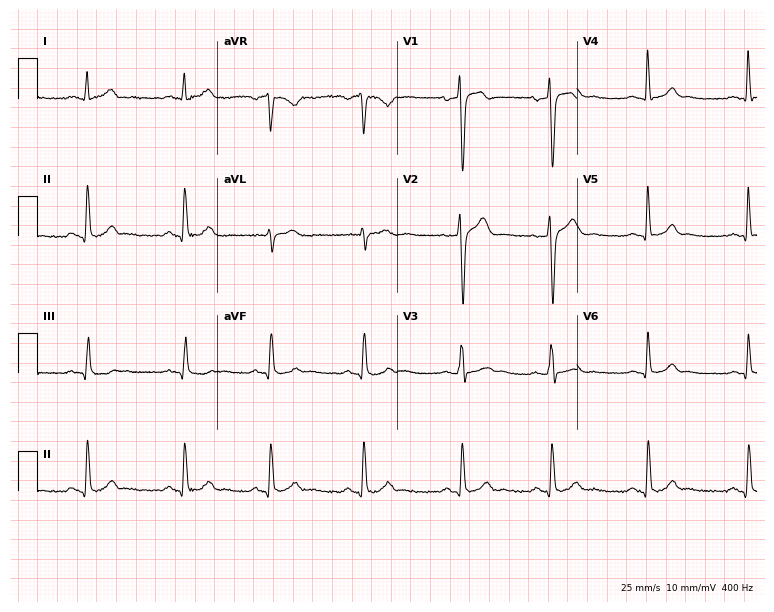
Resting 12-lead electrocardiogram (7.3-second recording at 400 Hz). Patient: a 23-year-old man. Read as a normal ECG.